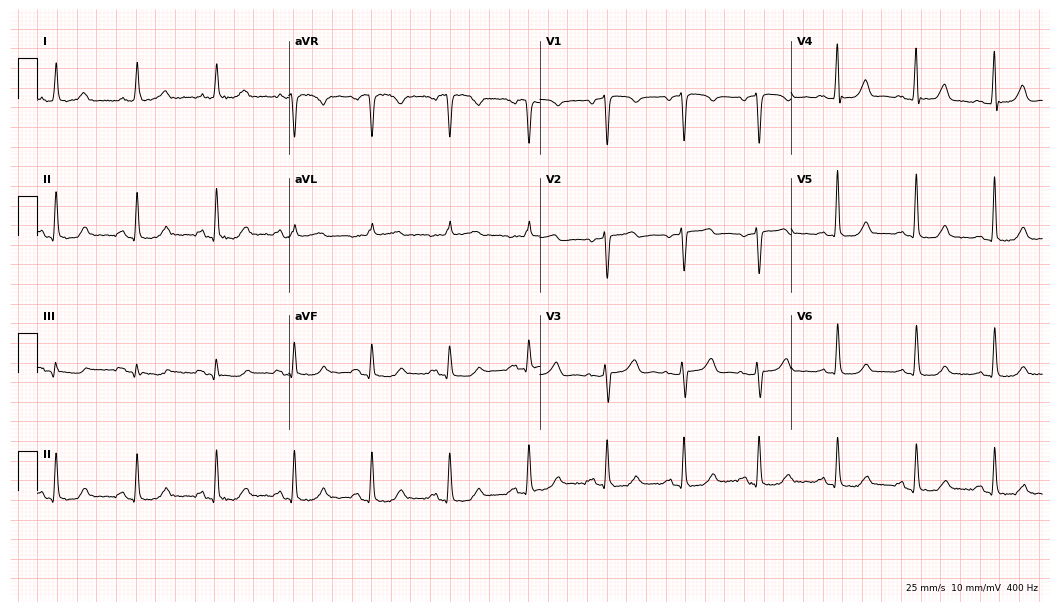
12-lead ECG (10.2-second recording at 400 Hz) from a 71-year-old female patient. Screened for six findings — first-degree AV block, right bundle branch block, left bundle branch block, sinus bradycardia, atrial fibrillation, sinus tachycardia — none is recorded. Other findings, if any, are not listed.